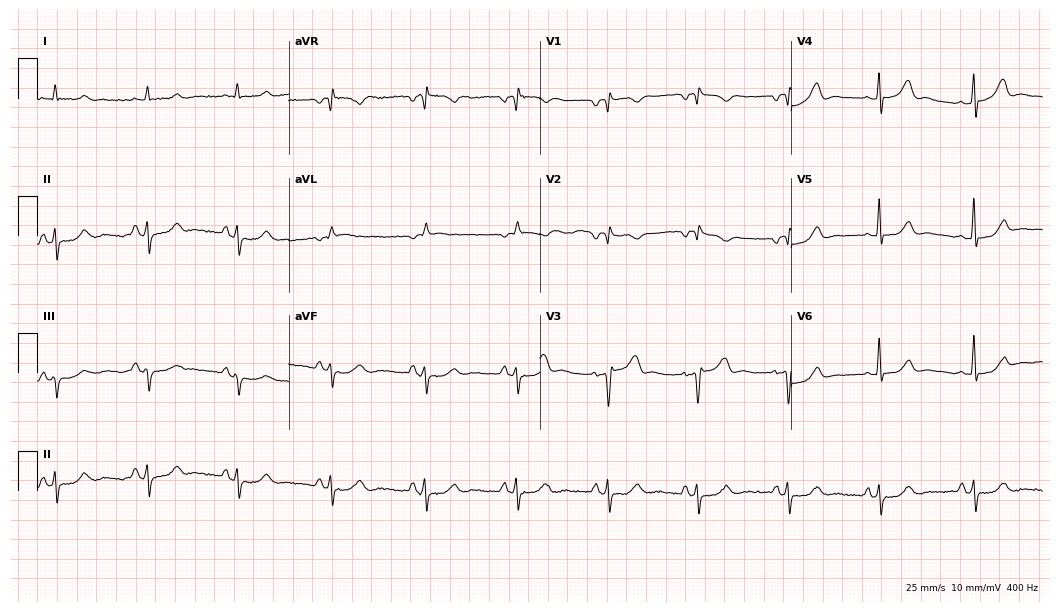
Electrocardiogram, a 65-year-old male patient. Of the six screened findings (first-degree AV block, right bundle branch block, left bundle branch block, sinus bradycardia, atrial fibrillation, sinus tachycardia), none is recorded.